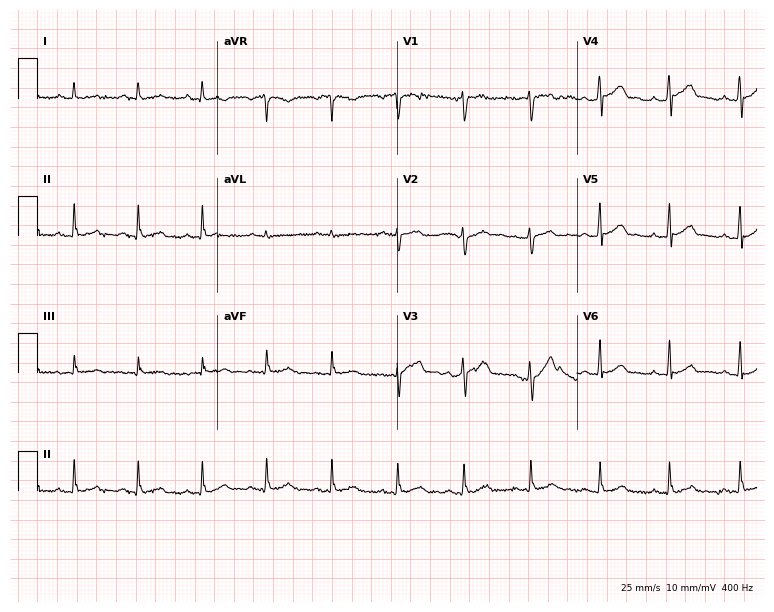
ECG — a male, 79 years old. Screened for six findings — first-degree AV block, right bundle branch block, left bundle branch block, sinus bradycardia, atrial fibrillation, sinus tachycardia — none is recorded.